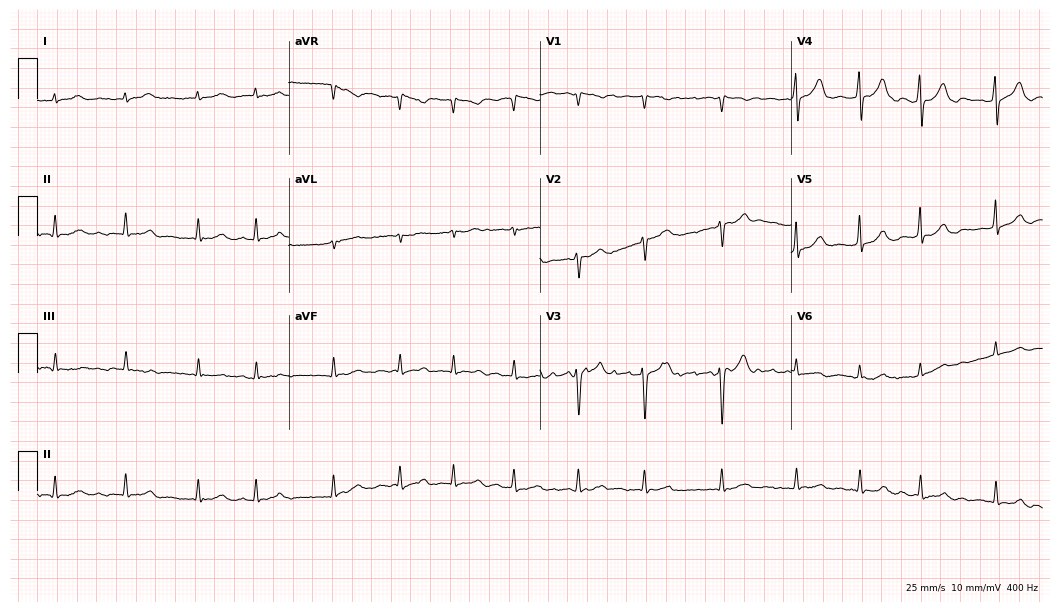
Electrocardiogram, an 82-year-old male. Interpretation includes atrial fibrillation (AF).